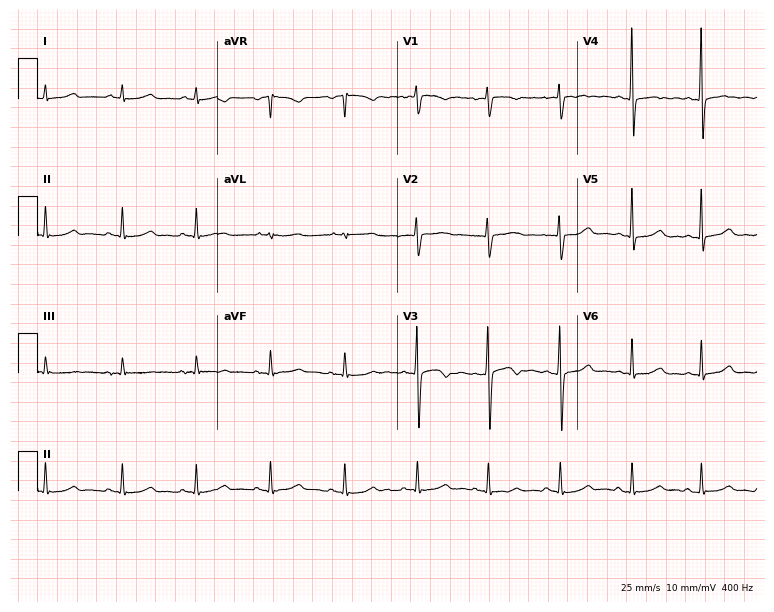
12-lead ECG (7.3-second recording at 400 Hz) from a woman, 27 years old. Labelled as a normal ECG.